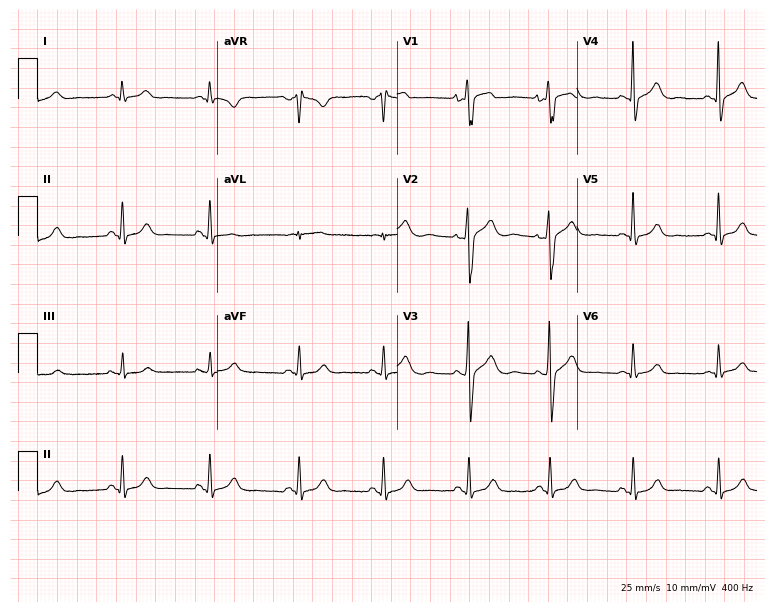
ECG — a 44-year-old man. Labelled as a normal ECG.